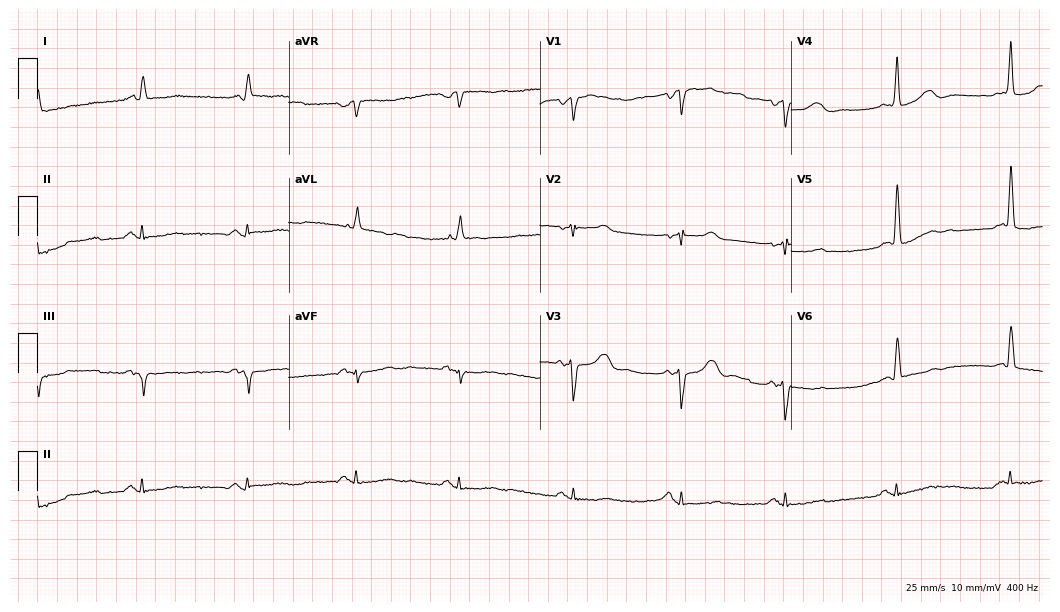
12-lead ECG (10.2-second recording at 400 Hz) from a 71-year-old male patient. Screened for six findings — first-degree AV block, right bundle branch block, left bundle branch block, sinus bradycardia, atrial fibrillation, sinus tachycardia — none is recorded. Only these six findings were labelled.